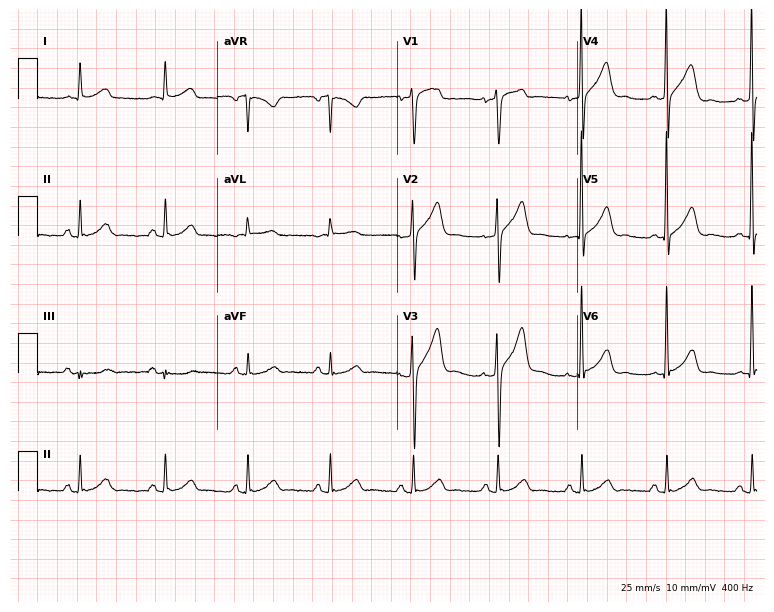
12-lead ECG (7.3-second recording at 400 Hz) from a man, 58 years old. Labelled as a normal ECG.